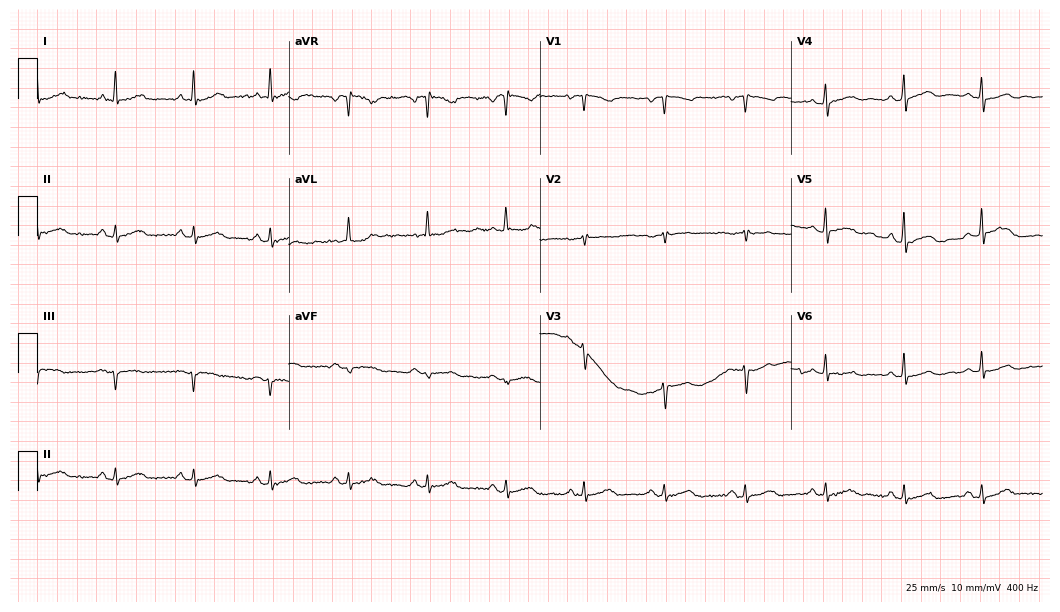
ECG — a female patient, 61 years old. Labelled as a normal ECG.